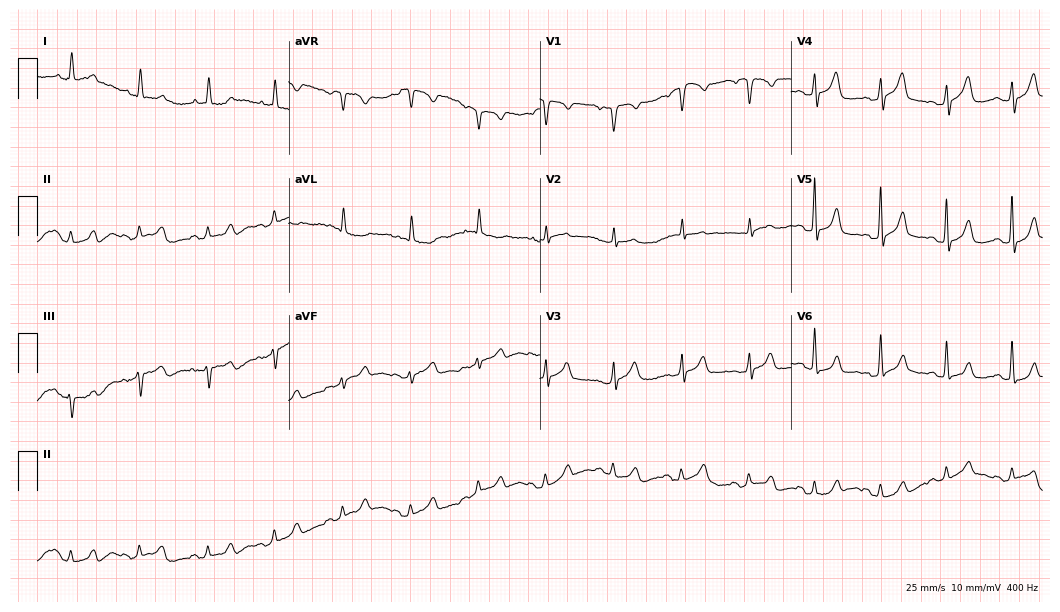
ECG — a female, 71 years old. Labelled as a normal ECG.